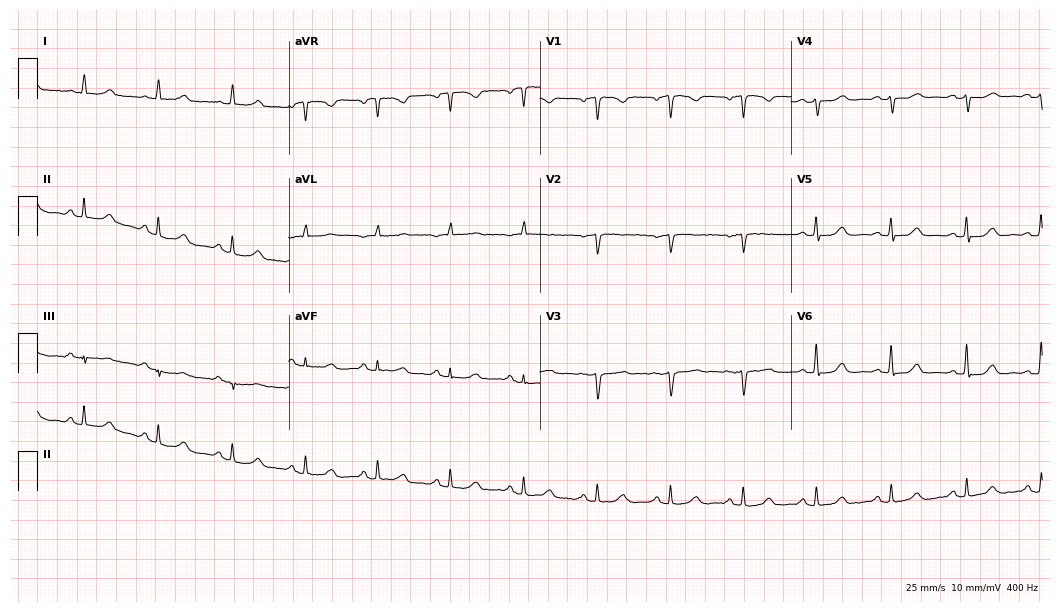
12-lead ECG from a female, 55 years old. Recorded interpretation: within normal limits.